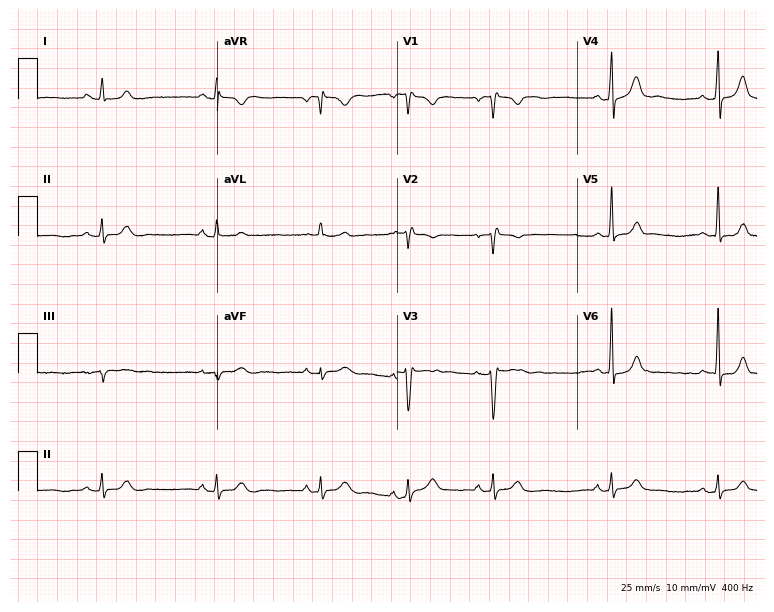
Standard 12-lead ECG recorded from a 24-year-old female. None of these six findings is recorded: first-degree AV block, right bundle branch block (RBBB), left bundle branch block (LBBB), sinus bradycardia, atrial fibrillation (AF), sinus tachycardia. Only these six findings were labelled.